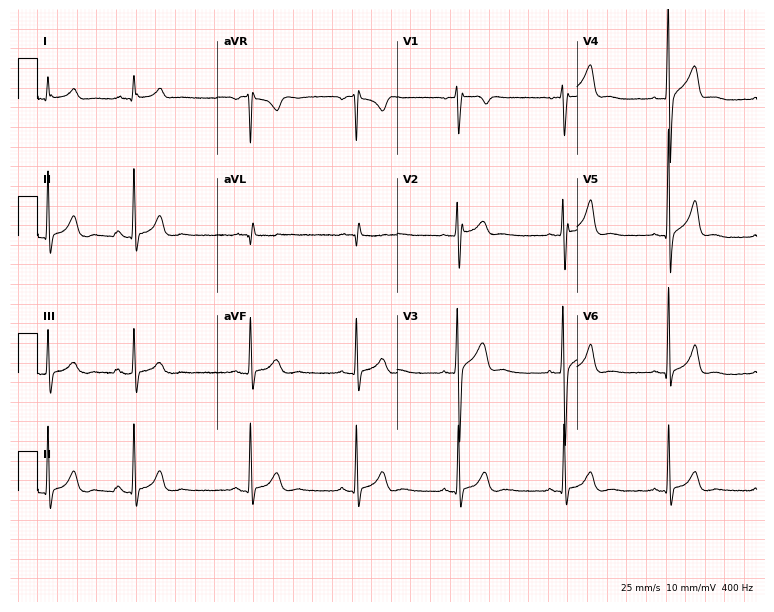
Standard 12-lead ECG recorded from a 38-year-old male patient. None of these six findings is recorded: first-degree AV block, right bundle branch block, left bundle branch block, sinus bradycardia, atrial fibrillation, sinus tachycardia. Other findings, if any, are not listed.